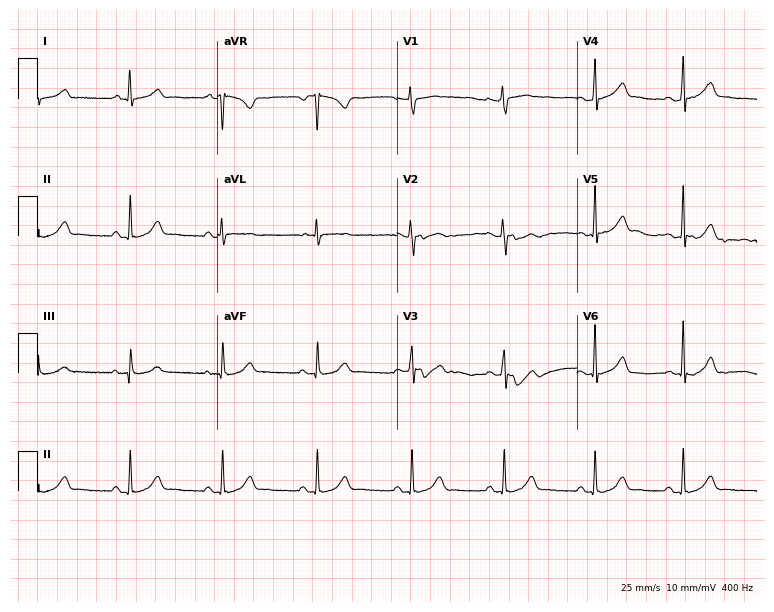
Electrocardiogram, a female, 31 years old. Overall reading on record: normal ECG.